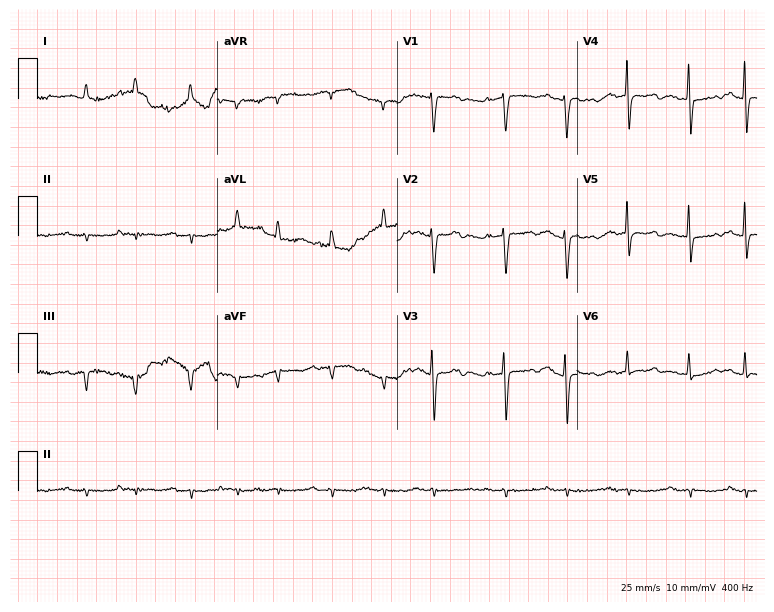
Electrocardiogram (7.3-second recording at 400 Hz), a 58-year-old woman. Interpretation includes atrial fibrillation.